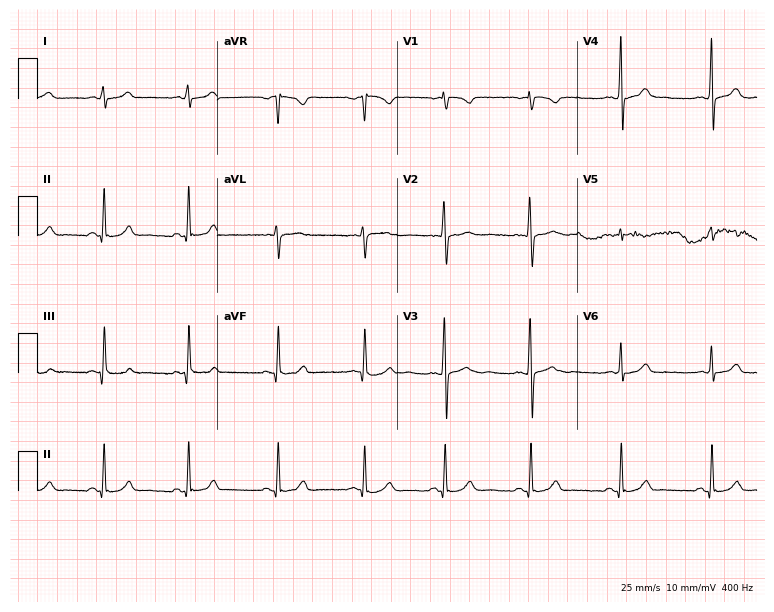
12-lead ECG (7.3-second recording at 400 Hz) from a female, 23 years old. Labelled as a normal ECG.